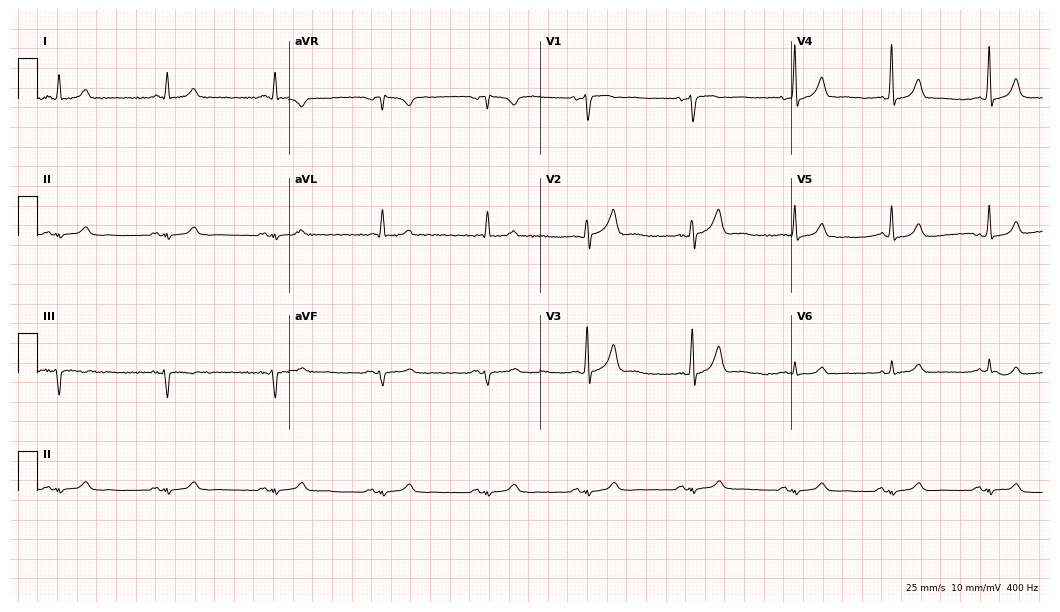
Resting 12-lead electrocardiogram (10.2-second recording at 400 Hz). Patient: a 77-year-old male. Read as a normal ECG.